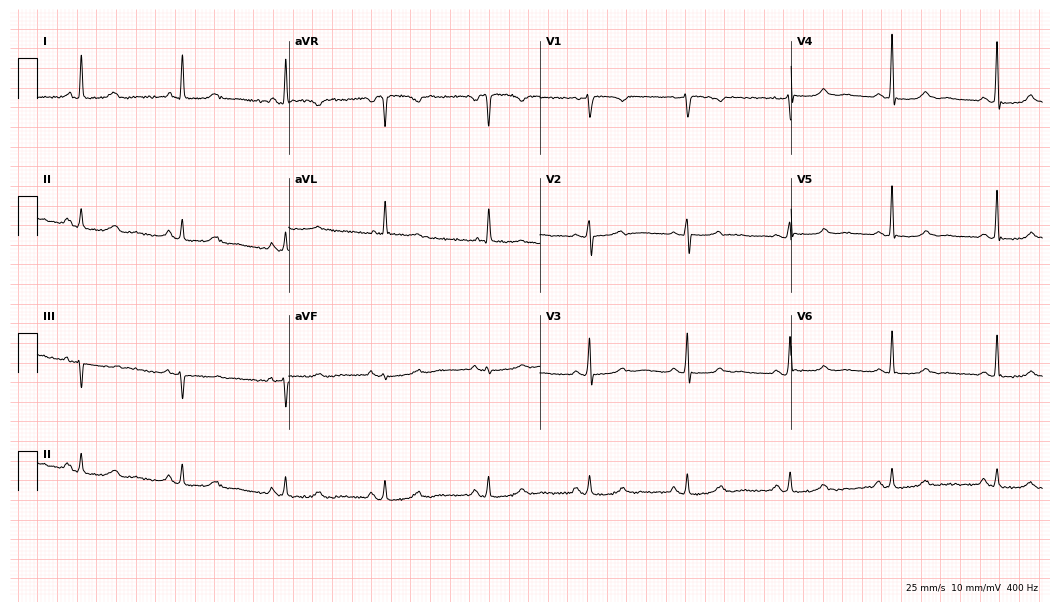
12-lead ECG from a 79-year-old female patient (10.2-second recording at 400 Hz). No first-degree AV block, right bundle branch block, left bundle branch block, sinus bradycardia, atrial fibrillation or sinus tachycardia recorded for this tracing.